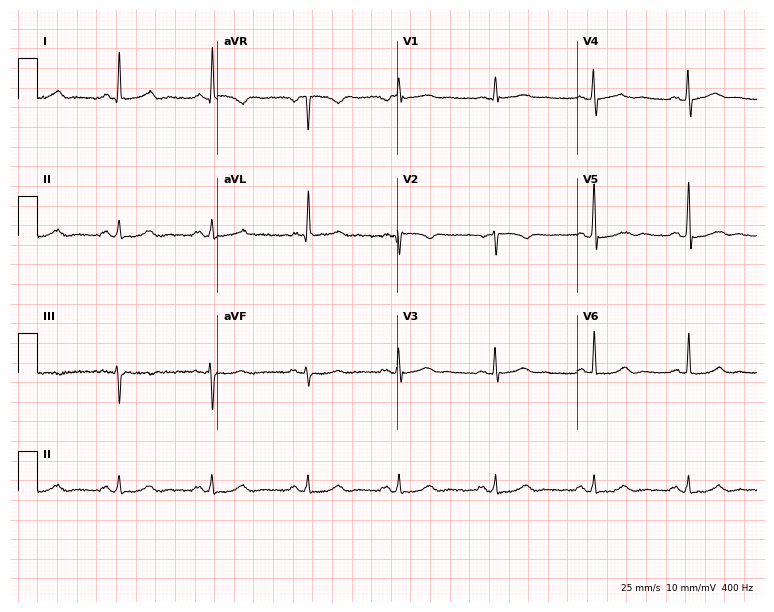
Resting 12-lead electrocardiogram (7.3-second recording at 400 Hz). Patient: a female, 59 years old. None of these six findings is recorded: first-degree AV block, right bundle branch block, left bundle branch block, sinus bradycardia, atrial fibrillation, sinus tachycardia.